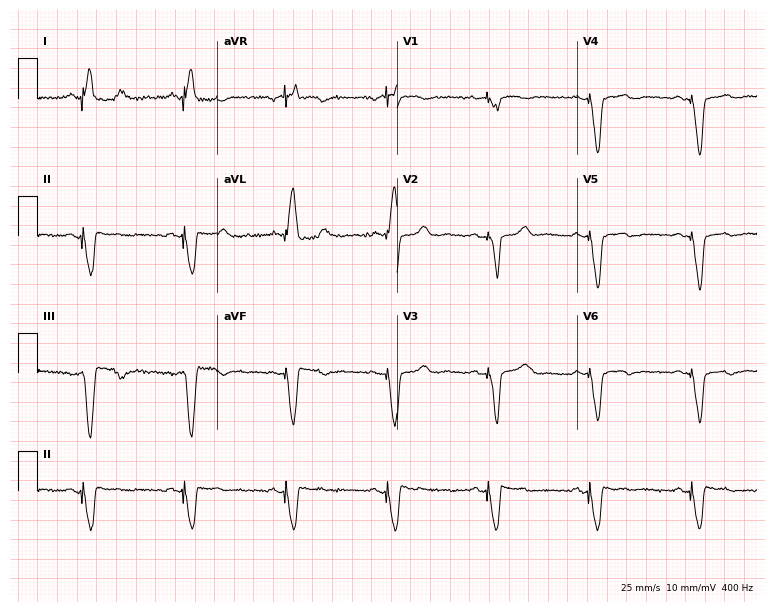
ECG — a male patient, 84 years old. Screened for six findings — first-degree AV block, right bundle branch block (RBBB), left bundle branch block (LBBB), sinus bradycardia, atrial fibrillation (AF), sinus tachycardia — none is recorded. Findings outside these six are not listed.